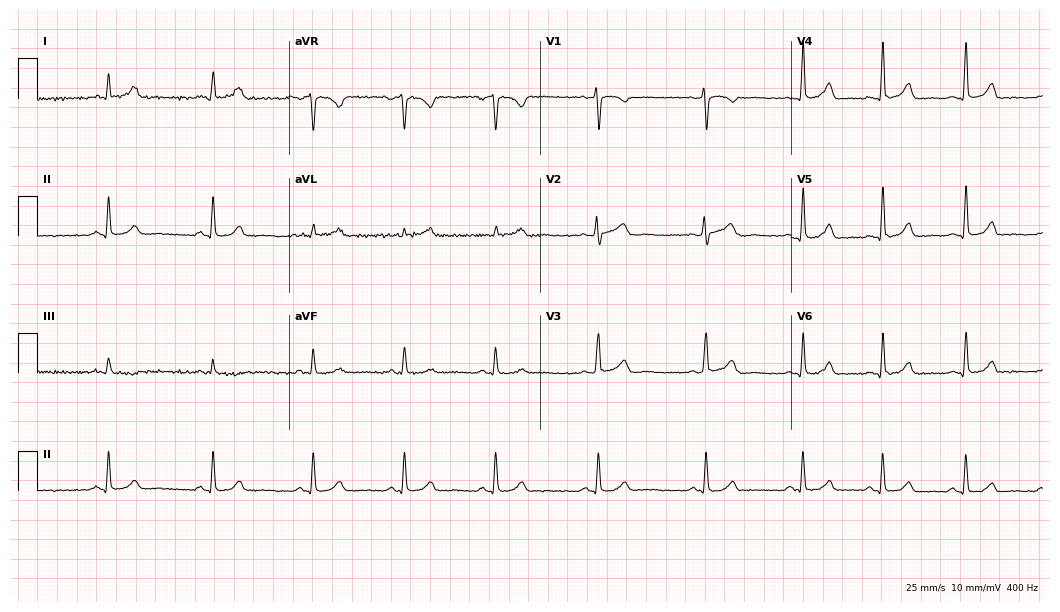
12-lead ECG from a woman, 40 years old. Screened for six findings — first-degree AV block, right bundle branch block (RBBB), left bundle branch block (LBBB), sinus bradycardia, atrial fibrillation (AF), sinus tachycardia — none is recorded.